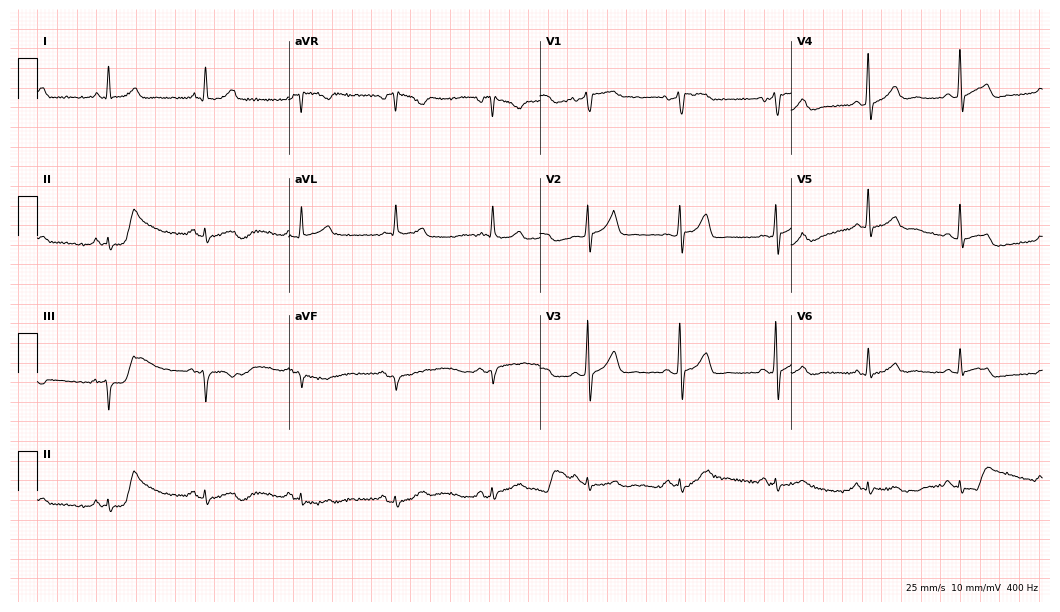
12-lead ECG from a 70-year-old male patient. No first-degree AV block, right bundle branch block, left bundle branch block, sinus bradycardia, atrial fibrillation or sinus tachycardia recorded for this tracing.